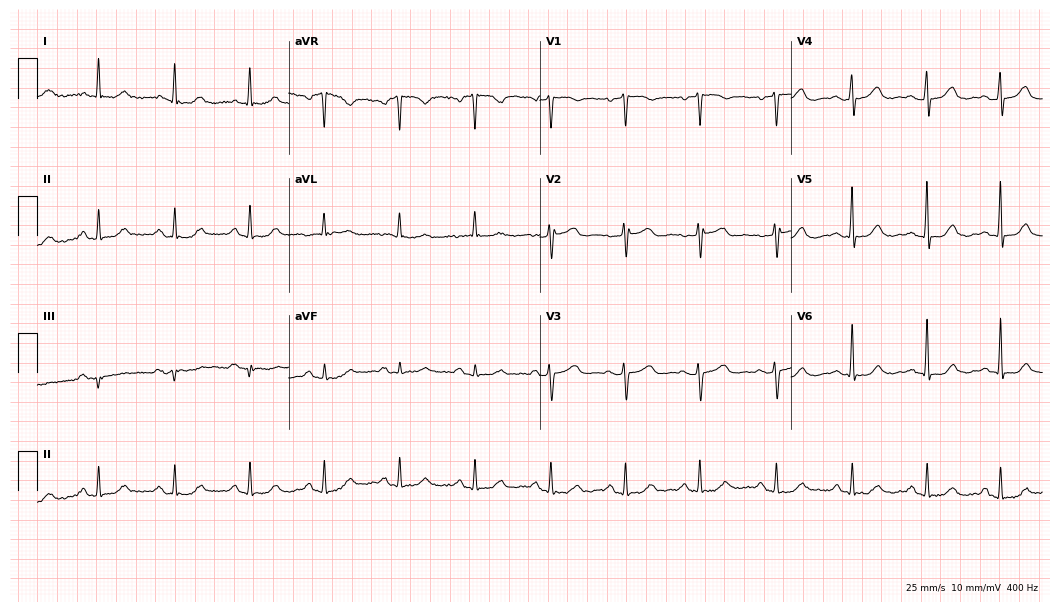
12-lead ECG from an 81-year-old woman. Screened for six findings — first-degree AV block, right bundle branch block (RBBB), left bundle branch block (LBBB), sinus bradycardia, atrial fibrillation (AF), sinus tachycardia — none is recorded. Only these six findings were labelled.